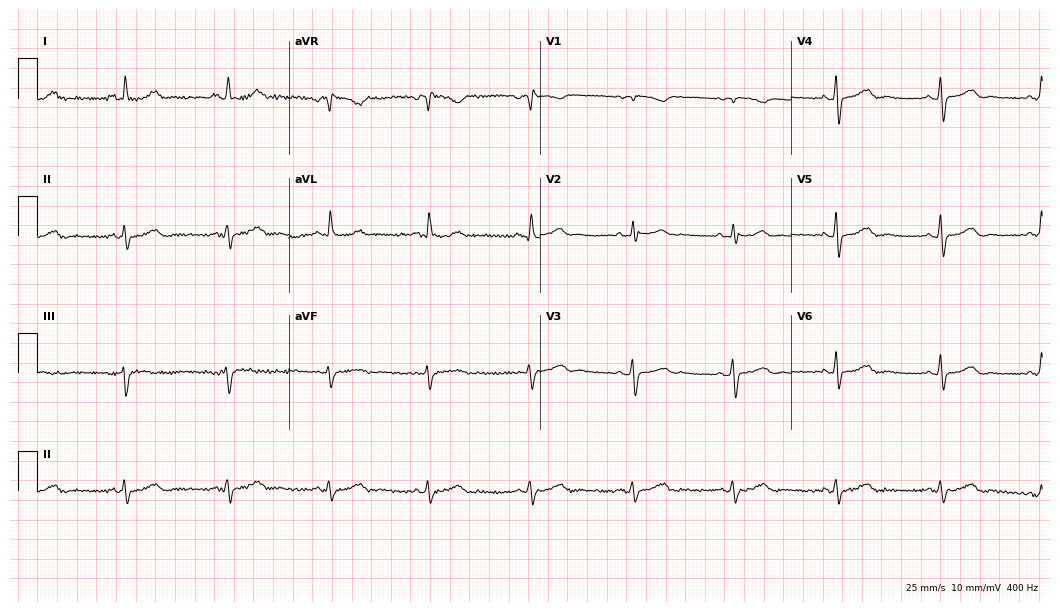
12-lead ECG (10.2-second recording at 400 Hz) from a female patient, 68 years old. Screened for six findings — first-degree AV block, right bundle branch block, left bundle branch block, sinus bradycardia, atrial fibrillation, sinus tachycardia — none is recorded. Other findings, if any, are not listed.